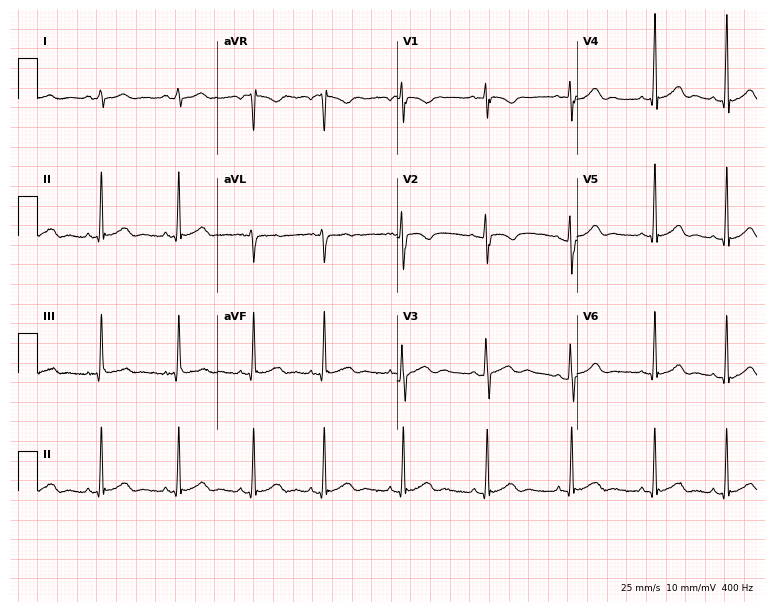
Resting 12-lead electrocardiogram (7.3-second recording at 400 Hz). Patient: a 17-year-old woman. Read as a normal ECG.